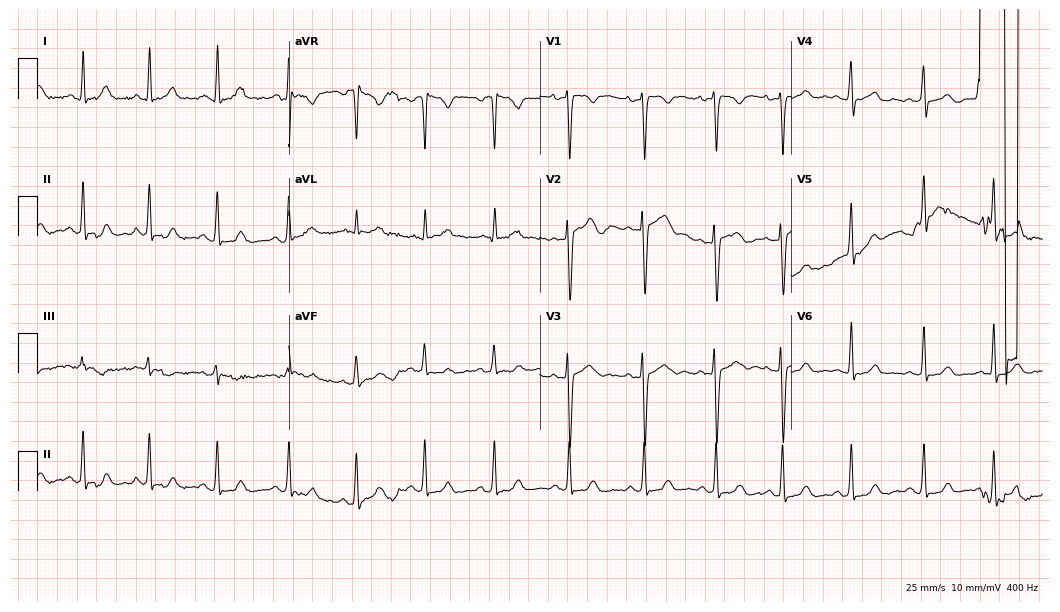
Resting 12-lead electrocardiogram. Patient: a female, 24 years old. None of these six findings is recorded: first-degree AV block, right bundle branch block, left bundle branch block, sinus bradycardia, atrial fibrillation, sinus tachycardia.